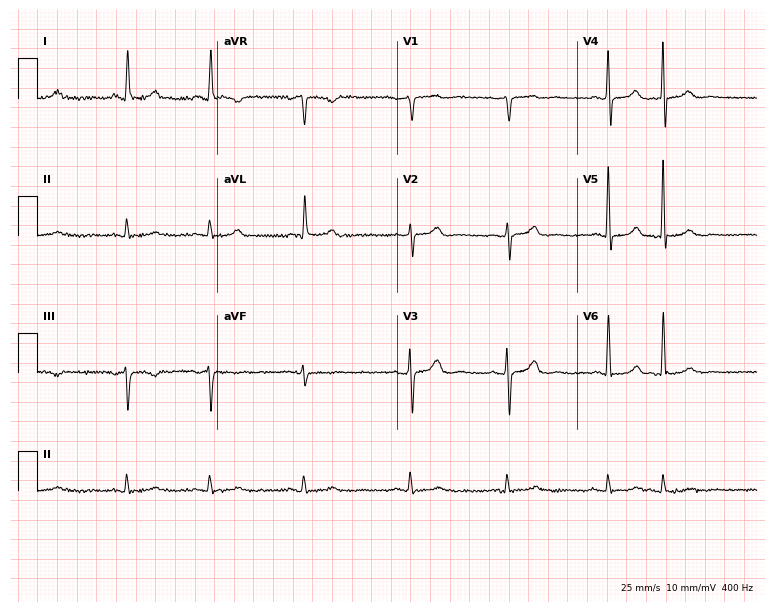
Standard 12-lead ECG recorded from a male patient, 85 years old. Read as a normal ECG.